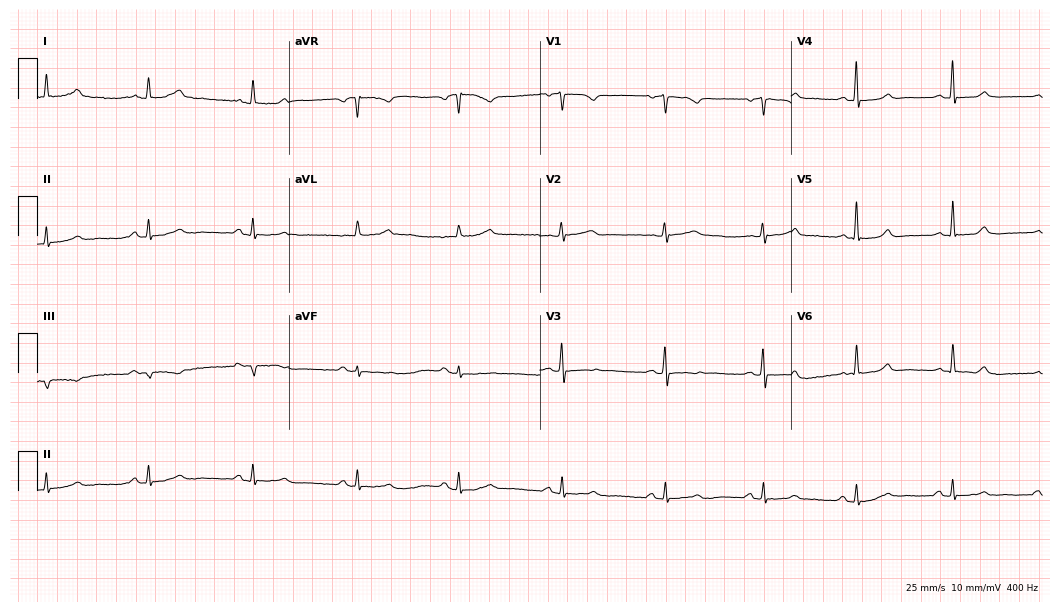
Standard 12-lead ECG recorded from a 66-year-old female (10.2-second recording at 400 Hz). Read as a normal ECG.